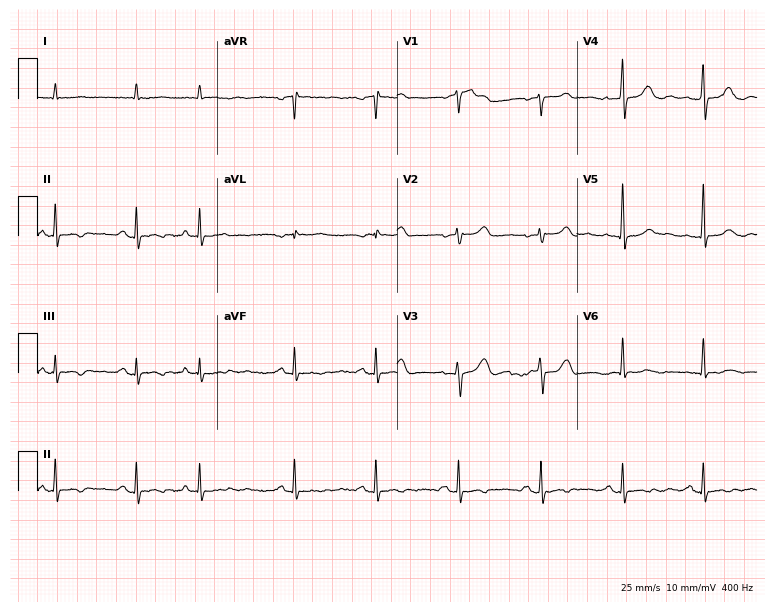
Standard 12-lead ECG recorded from a man, 84 years old. None of these six findings is recorded: first-degree AV block, right bundle branch block (RBBB), left bundle branch block (LBBB), sinus bradycardia, atrial fibrillation (AF), sinus tachycardia. Other findings, if any, are not listed.